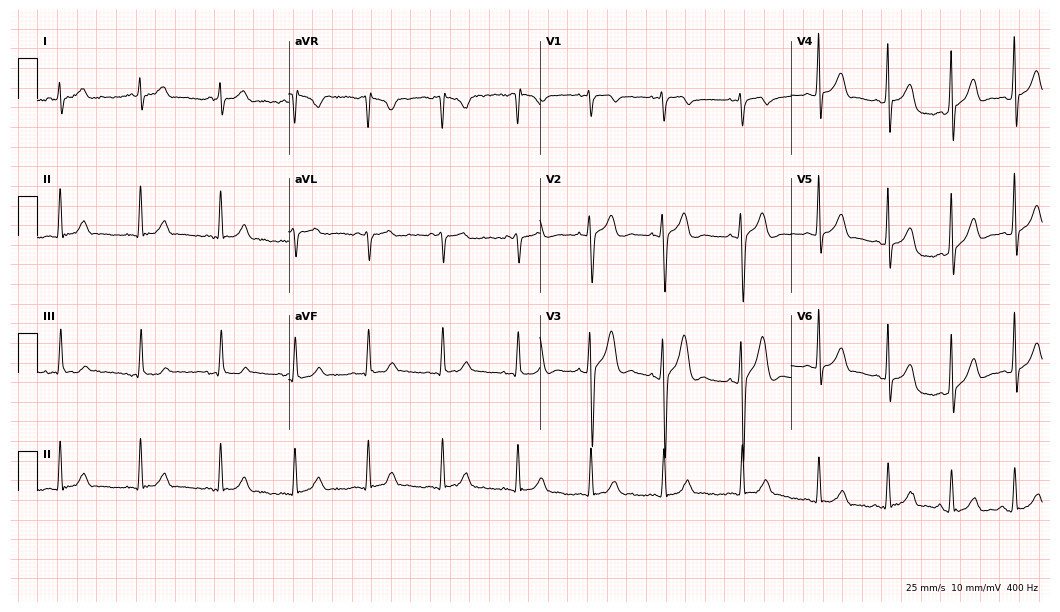
12-lead ECG from a man, 18 years old (10.2-second recording at 400 Hz). Recorded interpretation: within normal limits.